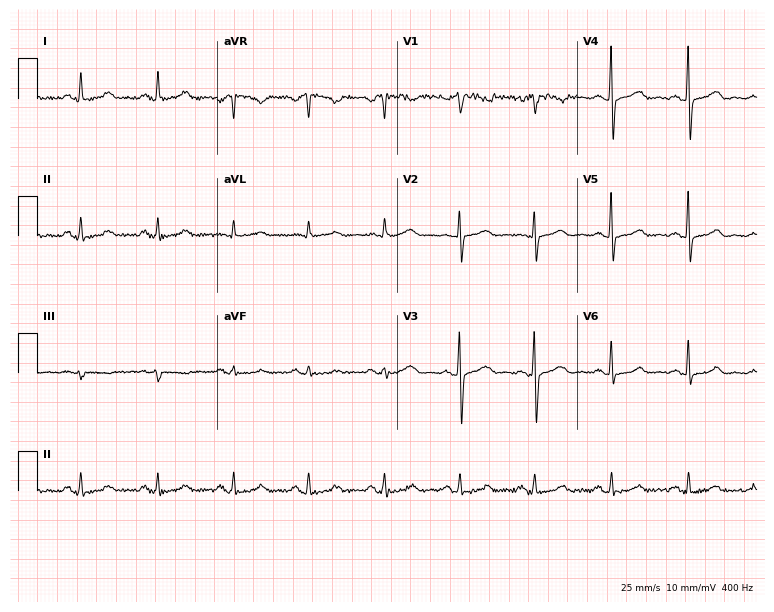
Standard 12-lead ECG recorded from a woman, 59 years old (7.3-second recording at 400 Hz). Read as a normal ECG.